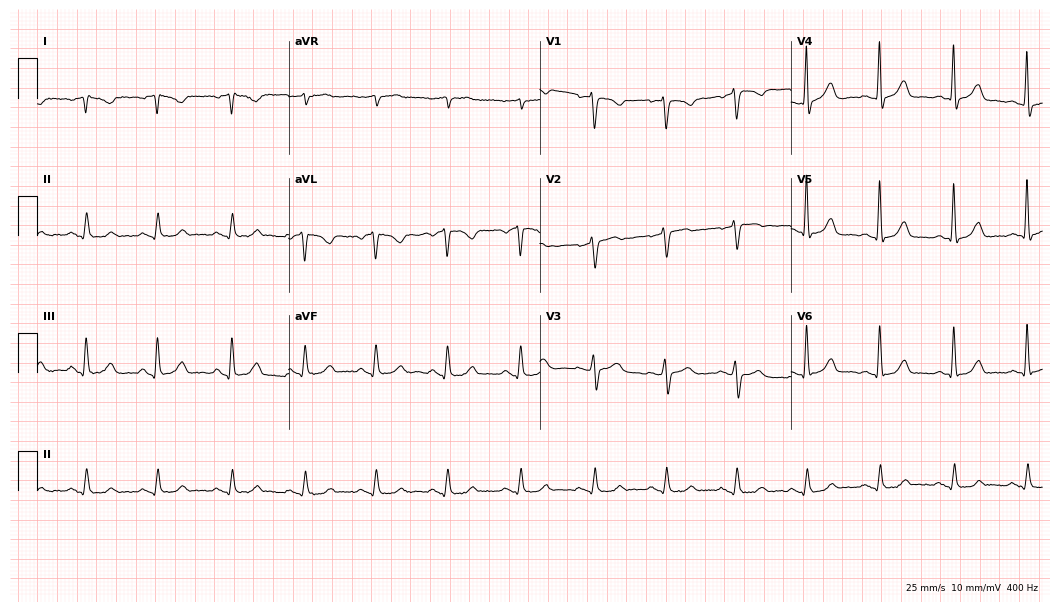
12-lead ECG from a 42-year-old female. No first-degree AV block, right bundle branch block, left bundle branch block, sinus bradycardia, atrial fibrillation or sinus tachycardia recorded for this tracing. Findings outside these six are not listed.